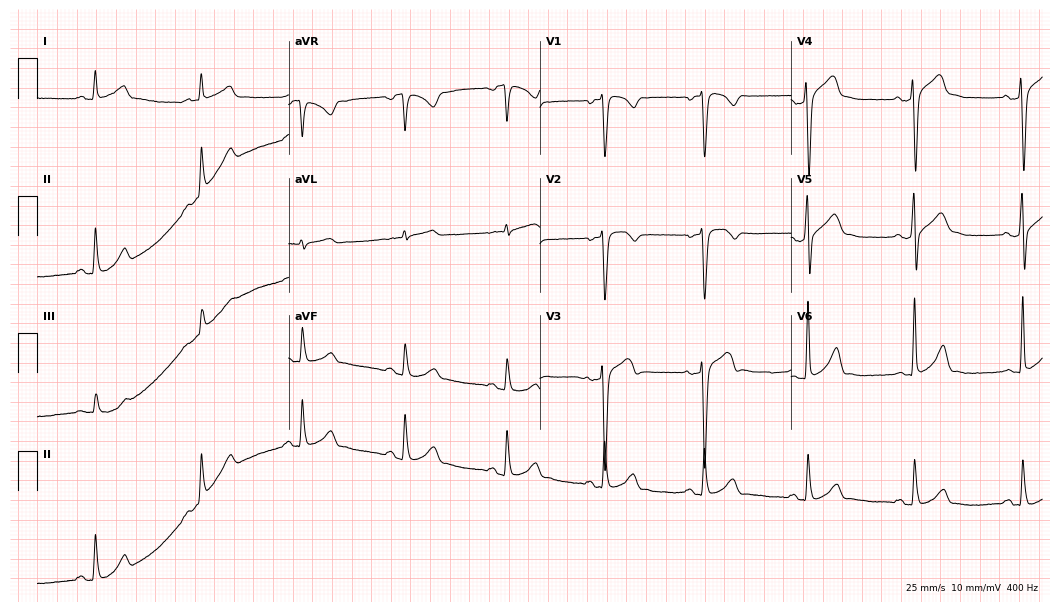
Resting 12-lead electrocardiogram. Patient: a male, 46 years old. None of these six findings is recorded: first-degree AV block, right bundle branch block, left bundle branch block, sinus bradycardia, atrial fibrillation, sinus tachycardia. Findings outside these six are not listed.